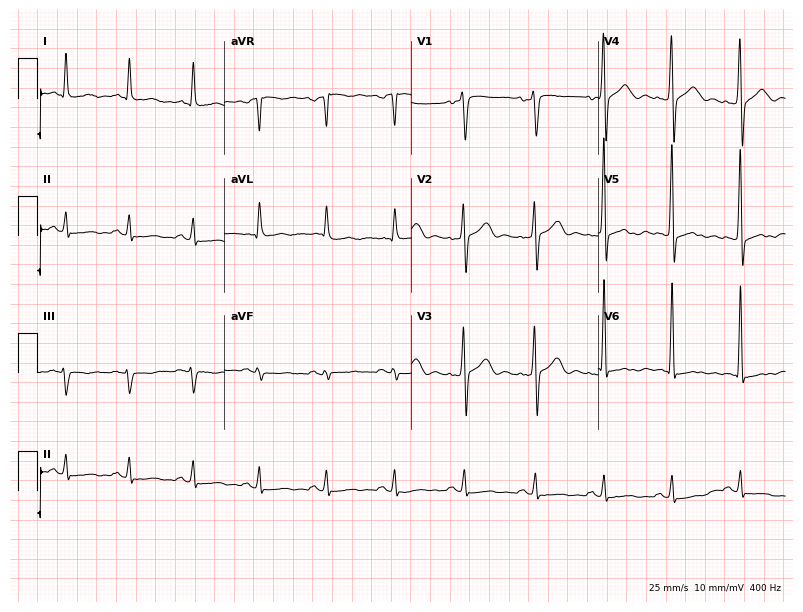
Resting 12-lead electrocardiogram (7.6-second recording at 400 Hz). Patient: a 48-year-old male. Read as a normal ECG.